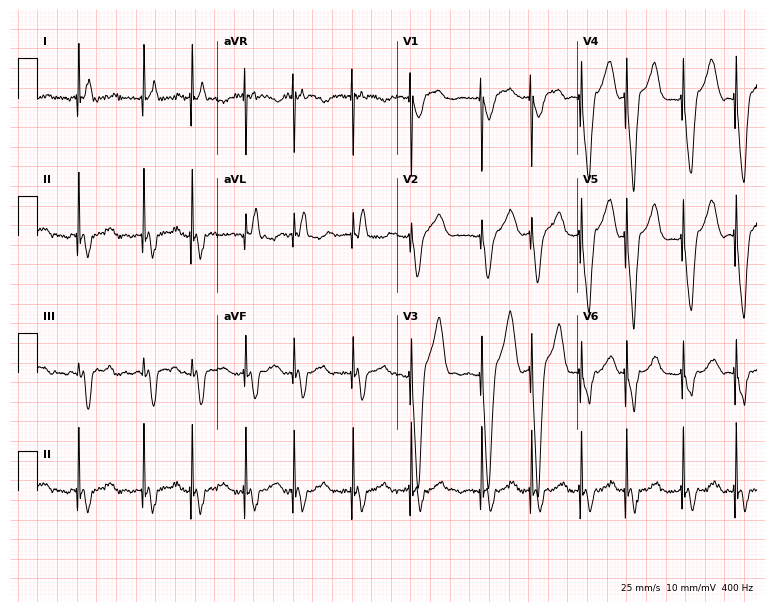
Electrocardiogram, a 75-year-old male patient. Interpretation includes atrial fibrillation (AF).